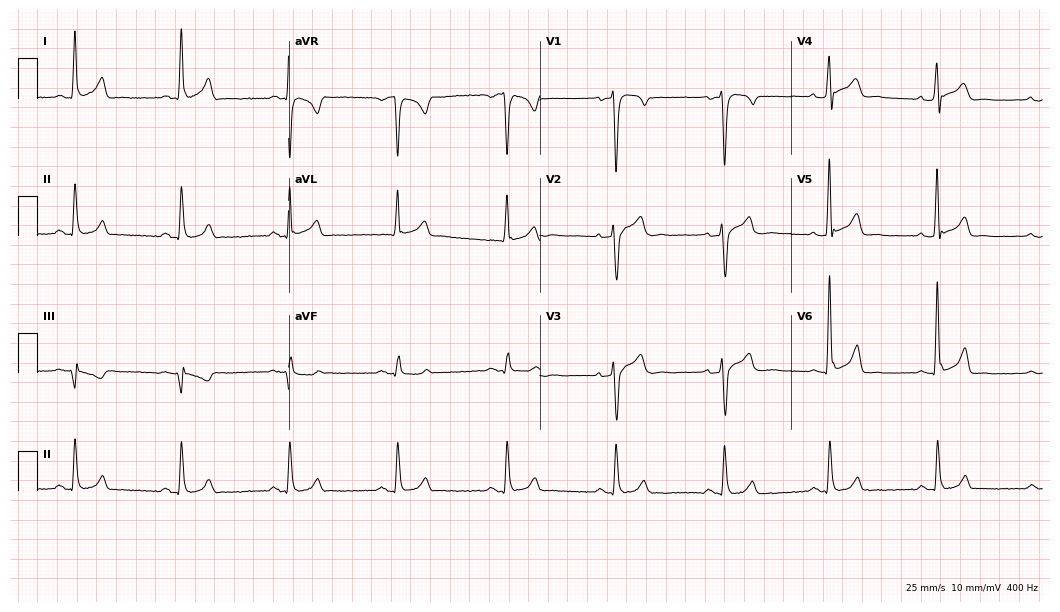
Standard 12-lead ECG recorded from a male patient, 56 years old (10.2-second recording at 400 Hz). None of these six findings is recorded: first-degree AV block, right bundle branch block, left bundle branch block, sinus bradycardia, atrial fibrillation, sinus tachycardia.